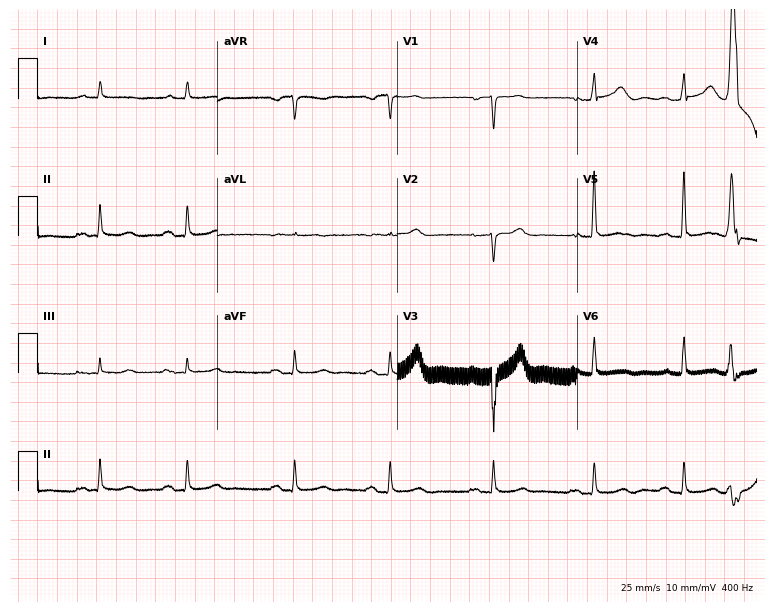
12-lead ECG from a 71-year-old man (7.3-second recording at 400 Hz). No first-degree AV block, right bundle branch block, left bundle branch block, sinus bradycardia, atrial fibrillation or sinus tachycardia recorded for this tracing.